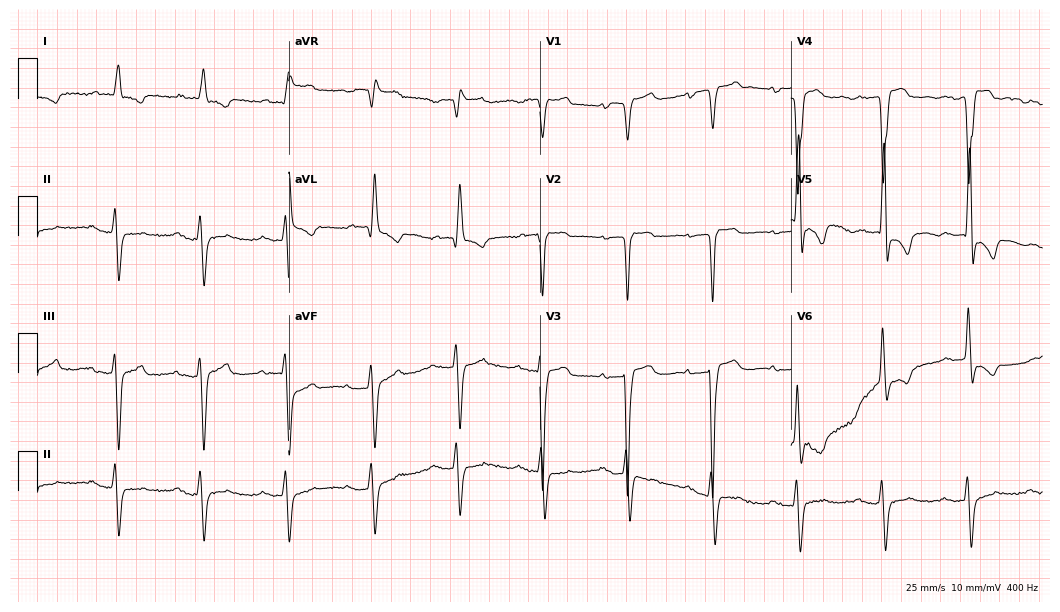
12-lead ECG from an 85-year-old male (10.2-second recording at 400 Hz). No first-degree AV block, right bundle branch block (RBBB), left bundle branch block (LBBB), sinus bradycardia, atrial fibrillation (AF) or sinus tachycardia recorded for this tracing. Findings outside these six are not listed.